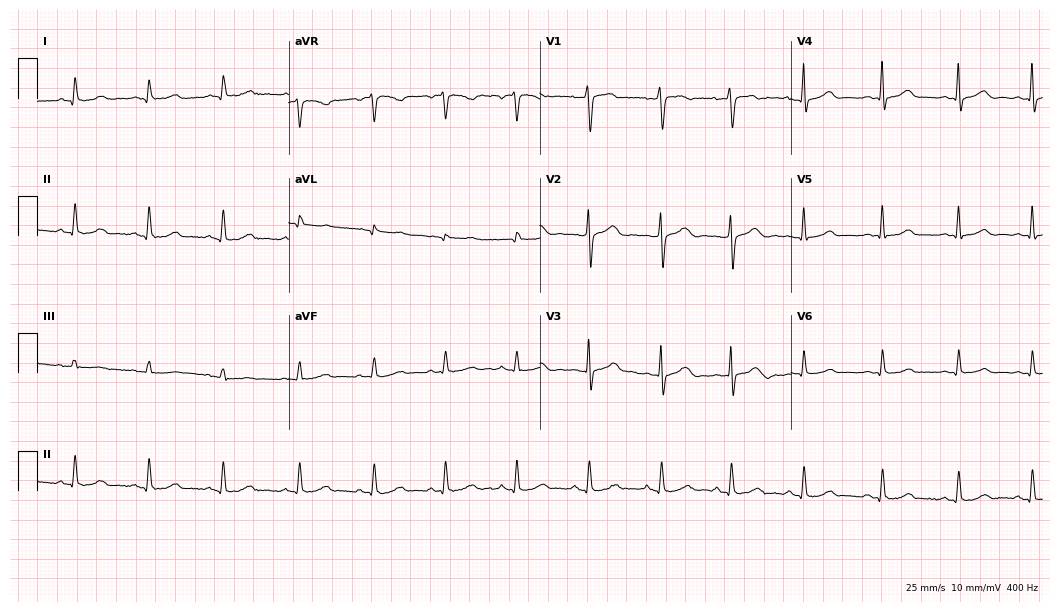
Resting 12-lead electrocardiogram (10.2-second recording at 400 Hz). Patient: a 38-year-old woman. Read as a normal ECG.